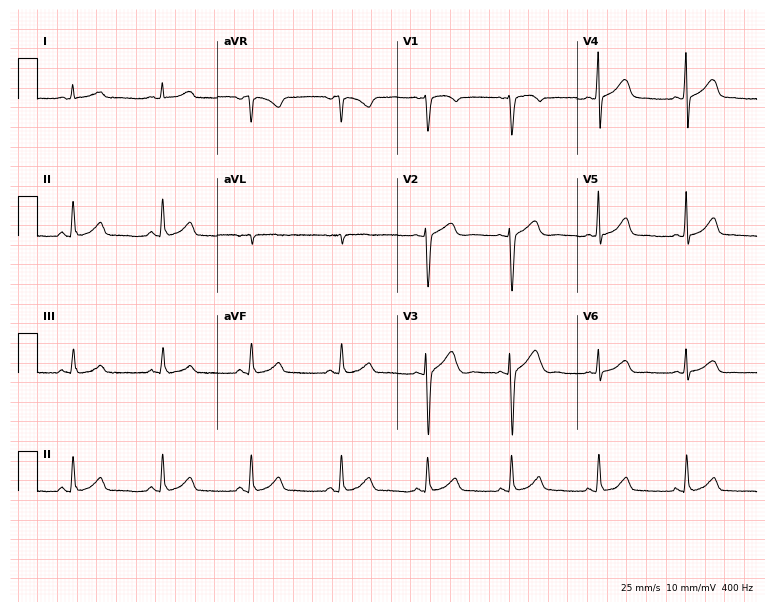
Electrocardiogram (7.3-second recording at 400 Hz), a 39-year-old female patient. Overall reading on record: normal ECG.